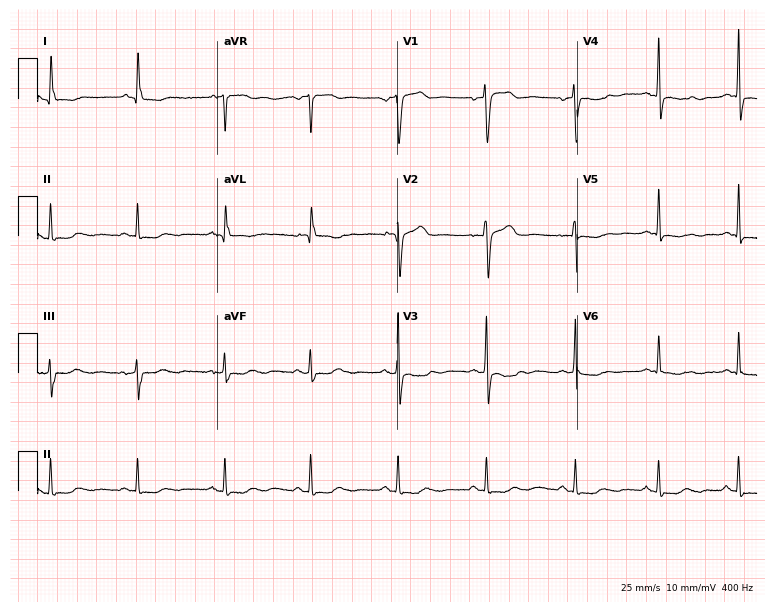
12-lead ECG from a 50-year-old man (7.3-second recording at 400 Hz). No first-degree AV block, right bundle branch block, left bundle branch block, sinus bradycardia, atrial fibrillation or sinus tachycardia recorded for this tracing.